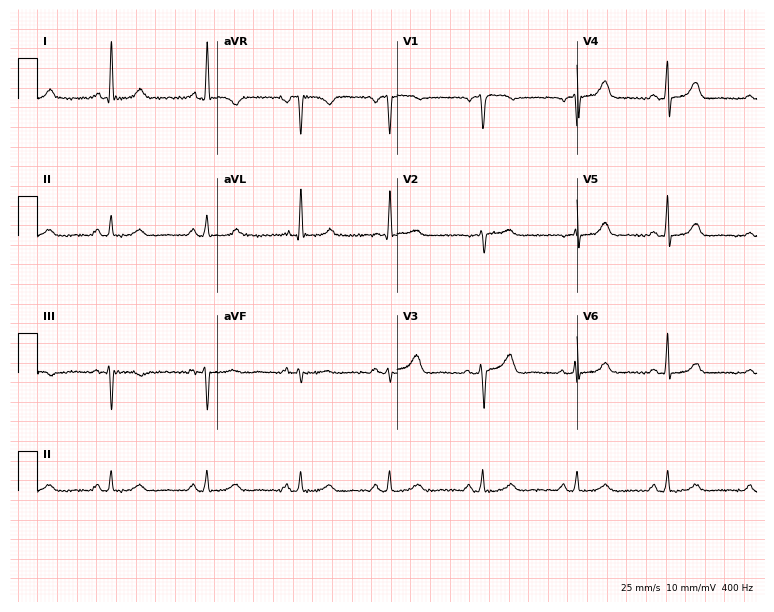
12-lead ECG from a 67-year-old female patient. Recorded interpretation: within normal limits.